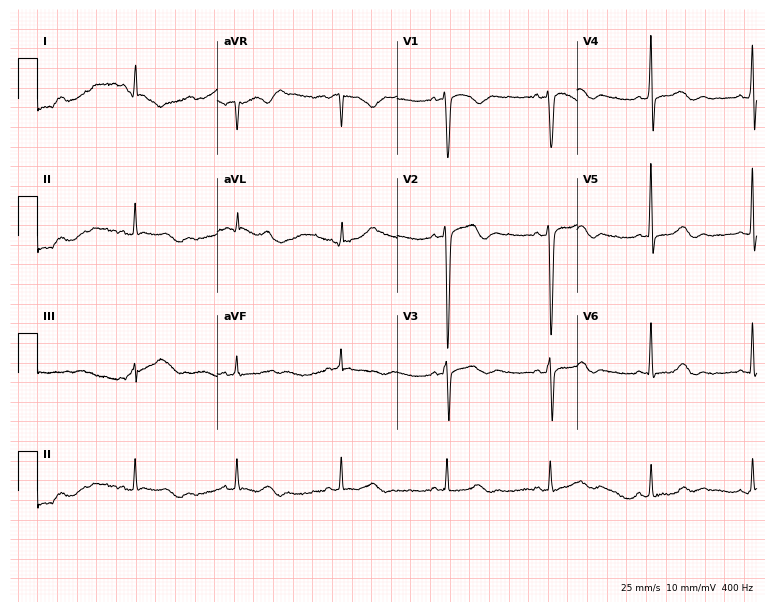
12-lead ECG from a 49-year-old man. No first-degree AV block, right bundle branch block (RBBB), left bundle branch block (LBBB), sinus bradycardia, atrial fibrillation (AF) or sinus tachycardia recorded for this tracing. Findings outside these six are not listed.